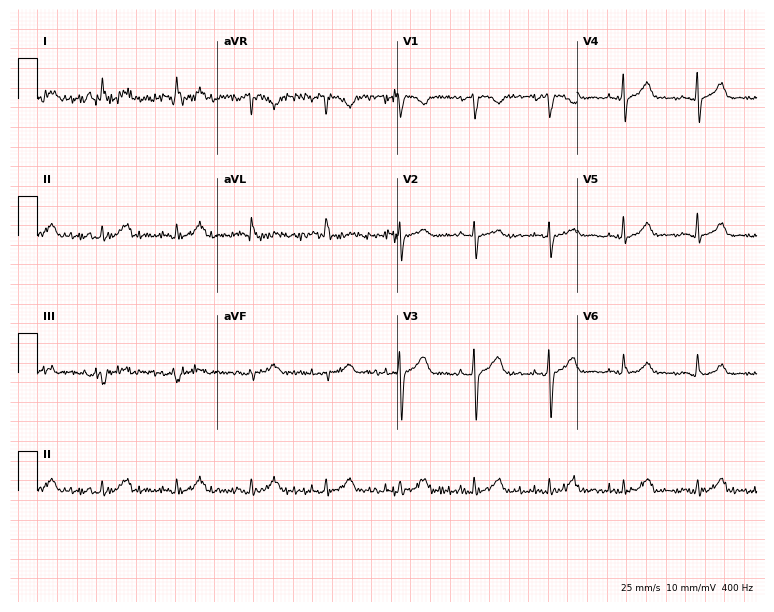
Standard 12-lead ECG recorded from a 54-year-old male patient (7.3-second recording at 400 Hz). None of these six findings is recorded: first-degree AV block, right bundle branch block (RBBB), left bundle branch block (LBBB), sinus bradycardia, atrial fibrillation (AF), sinus tachycardia. Only these six findings were labelled.